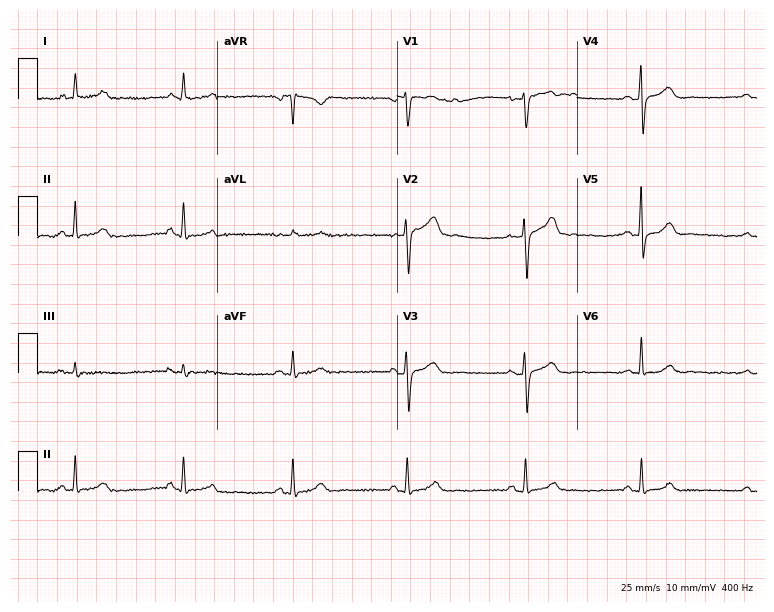
12-lead ECG (7.3-second recording at 400 Hz) from a female, 53 years old. Screened for six findings — first-degree AV block, right bundle branch block, left bundle branch block, sinus bradycardia, atrial fibrillation, sinus tachycardia — none is recorded.